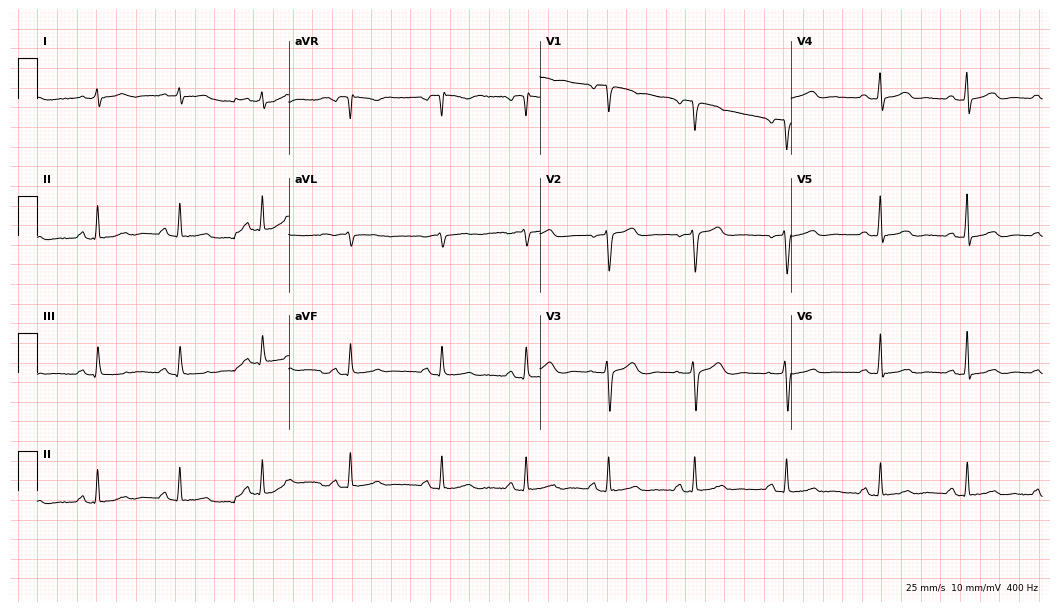
Standard 12-lead ECG recorded from a 53-year-old female. Read as a normal ECG.